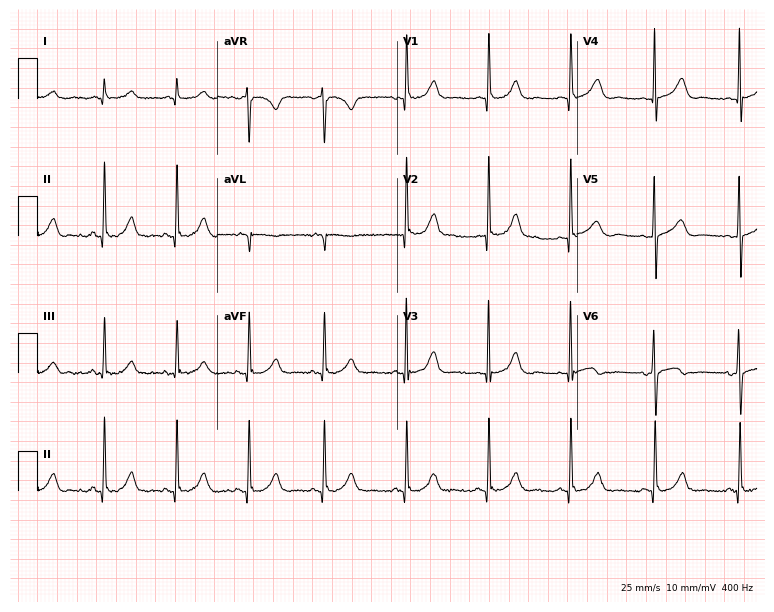
ECG — a female, 59 years old. Screened for six findings — first-degree AV block, right bundle branch block, left bundle branch block, sinus bradycardia, atrial fibrillation, sinus tachycardia — none is recorded.